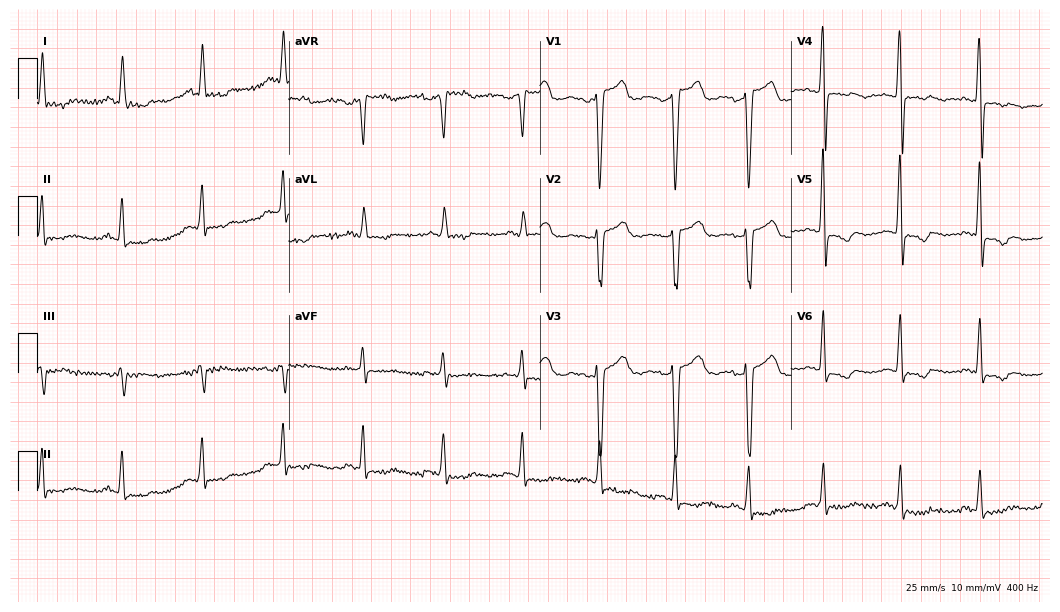
12-lead ECG from a 66-year-old female patient. No first-degree AV block, right bundle branch block (RBBB), left bundle branch block (LBBB), sinus bradycardia, atrial fibrillation (AF) or sinus tachycardia recorded for this tracing. Only these six findings were labelled.